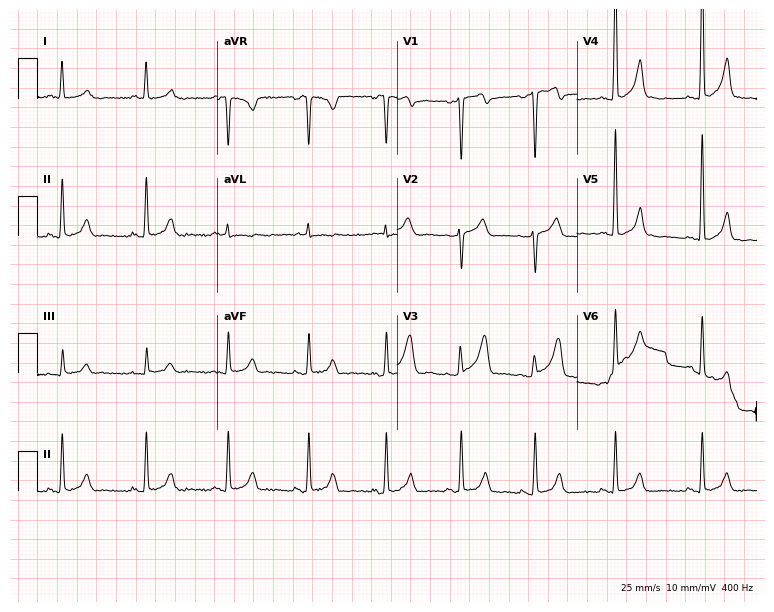
ECG — a 44-year-old man. Screened for six findings — first-degree AV block, right bundle branch block, left bundle branch block, sinus bradycardia, atrial fibrillation, sinus tachycardia — none is recorded. Findings outside these six are not listed.